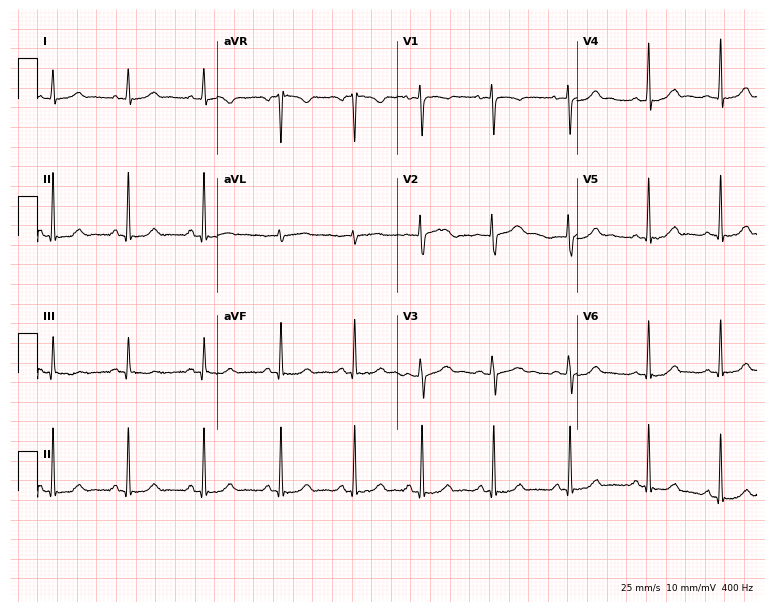
ECG — a 22-year-old woman. Labelled as a normal ECG.